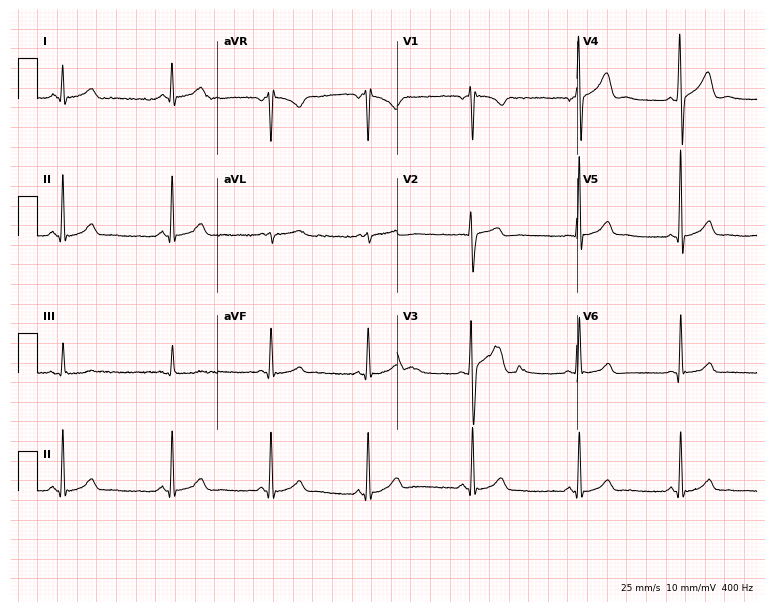
Standard 12-lead ECG recorded from a 30-year-old male patient. Read as a normal ECG.